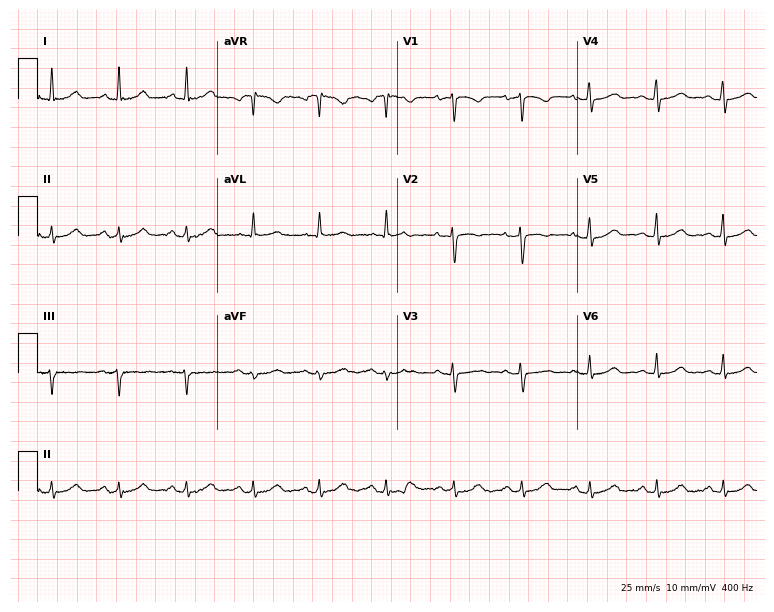
12-lead ECG from a 49-year-old female patient (7.3-second recording at 400 Hz). Recorded interpretation: within normal limits.